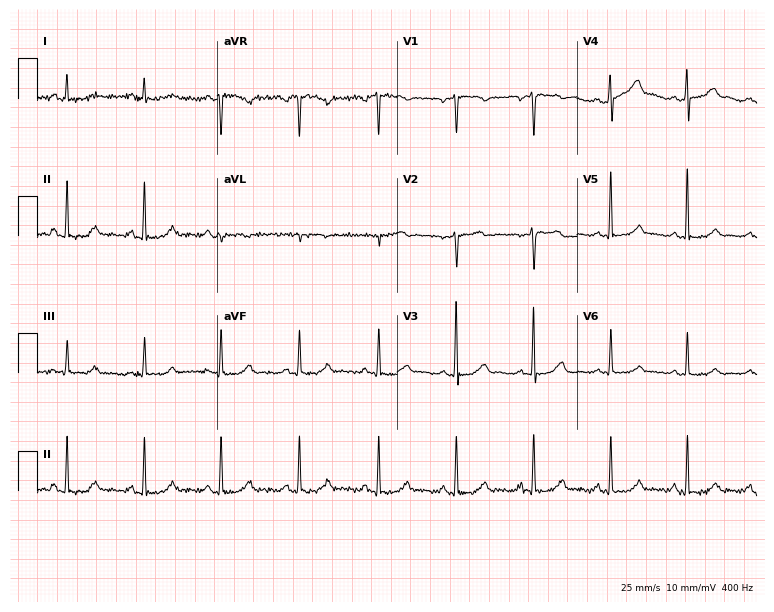
Standard 12-lead ECG recorded from a woman, 55 years old (7.3-second recording at 400 Hz). Read as a normal ECG.